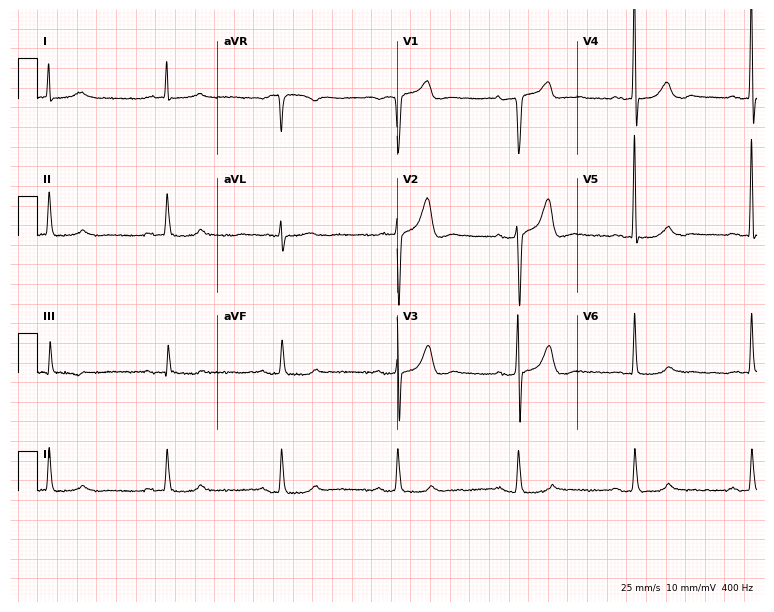
ECG (7.3-second recording at 400 Hz) — a 70-year-old man. Findings include sinus bradycardia (a sinus rate of 50 beats per minute or less).